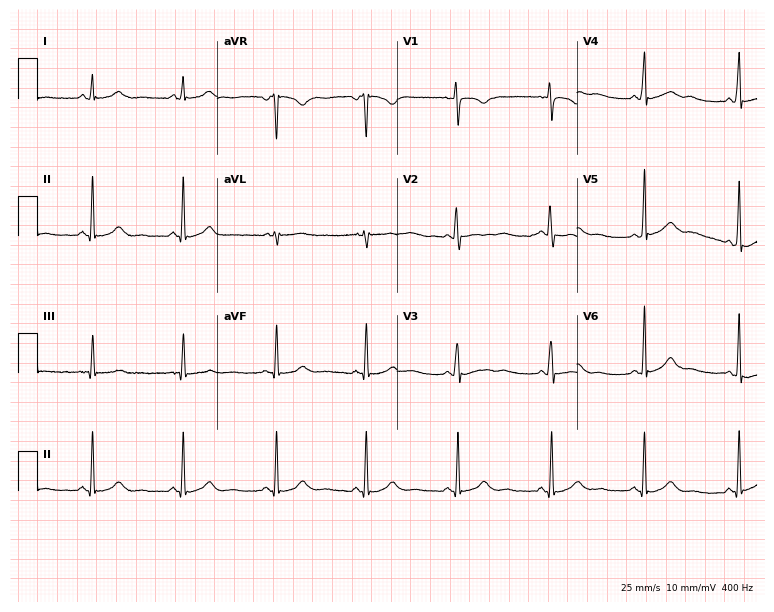
Resting 12-lead electrocardiogram (7.3-second recording at 400 Hz). Patient: a 21-year-old female. None of these six findings is recorded: first-degree AV block, right bundle branch block, left bundle branch block, sinus bradycardia, atrial fibrillation, sinus tachycardia. Findings outside these six are not listed.